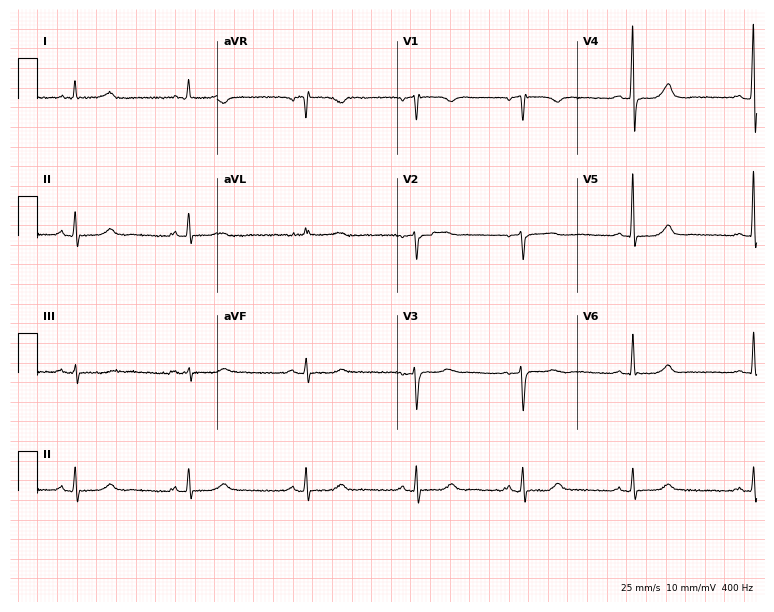
Electrocardiogram (7.3-second recording at 400 Hz), a female patient, 62 years old. Interpretation includes sinus bradycardia (a sinus rate of 50 beats per minute or less).